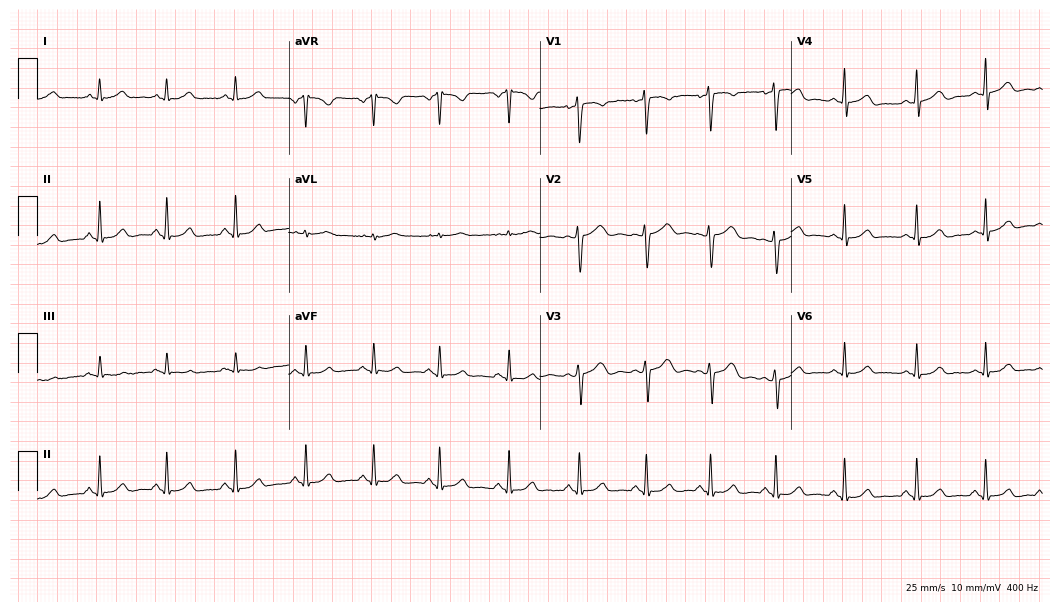
ECG (10.2-second recording at 400 Hz) — a 28-year-old female. Labelled as a normal ECG.